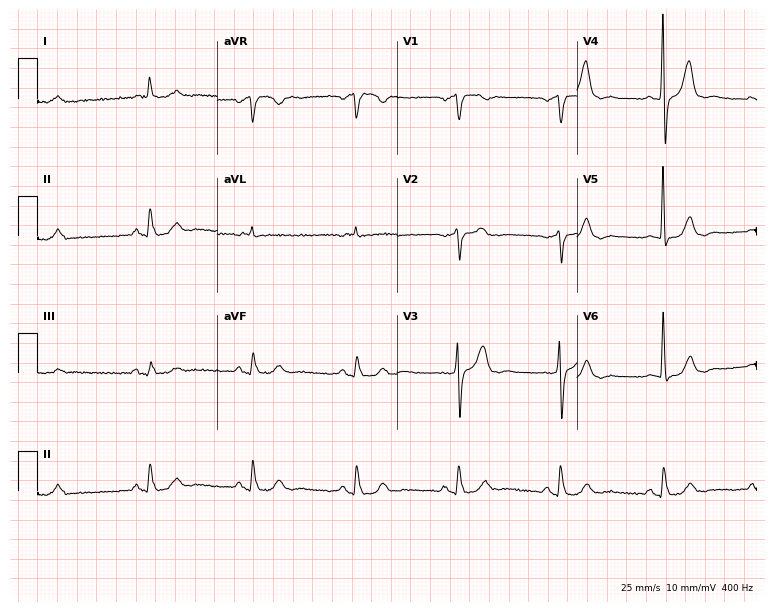
12-lead ECG from a male, 82 years old (7.3-second recording at 400 Hz). No first-degree AV block, right bundle branch block, left bundle branch block, sinus bradycardia, atrial fibrillation or sinus tachycardia recorded for this tracing. Only these six findings were labelled.